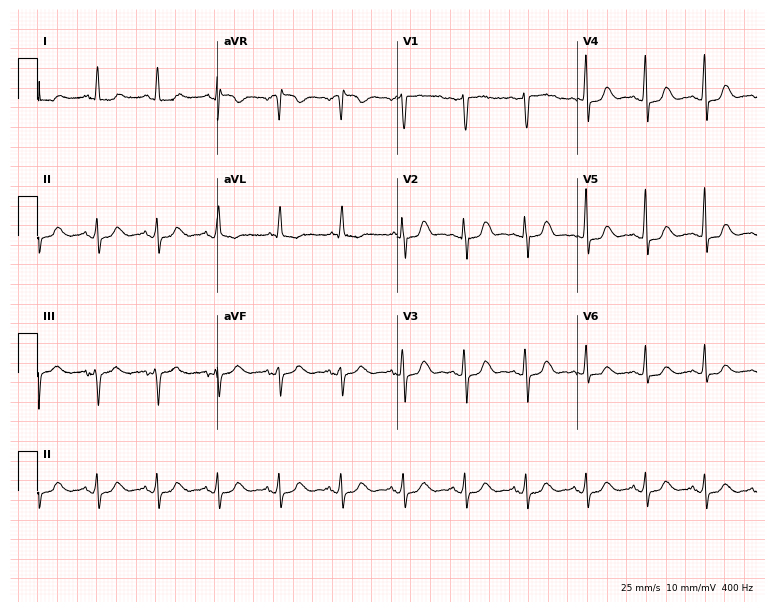
ECG (7.3-second recording at 400 Hz) — a female, 60 years old. Screened for six findings — first-degree AV block, right bundle branch block, left bundle branch block, sinus bradycardia, atrial fibrillation, sinus tachycardia — none is recorded.